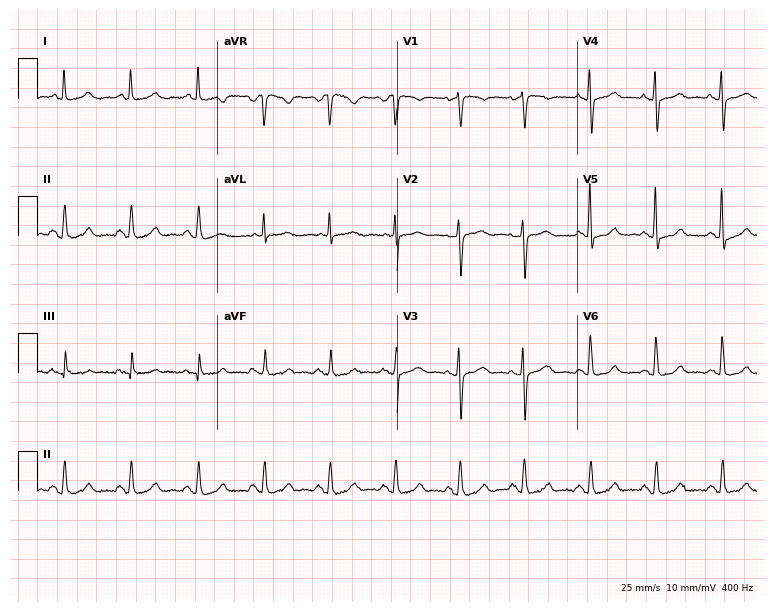
Resting 12-lead electrocardiogram (7.3-second recording at 400 Hz). Patient: a 68-year-old woman. Read as a normal ECG.